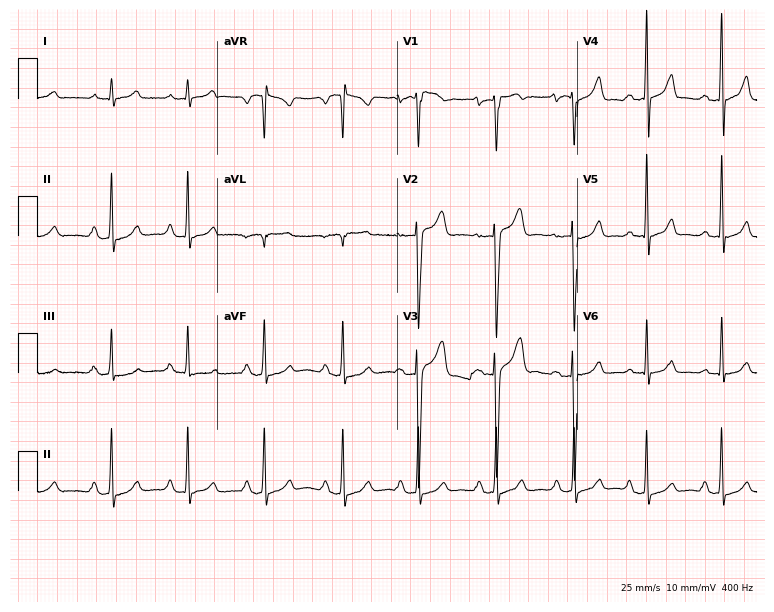
ECG — a male patient, 17 years old. Labelled as a normal ECG.